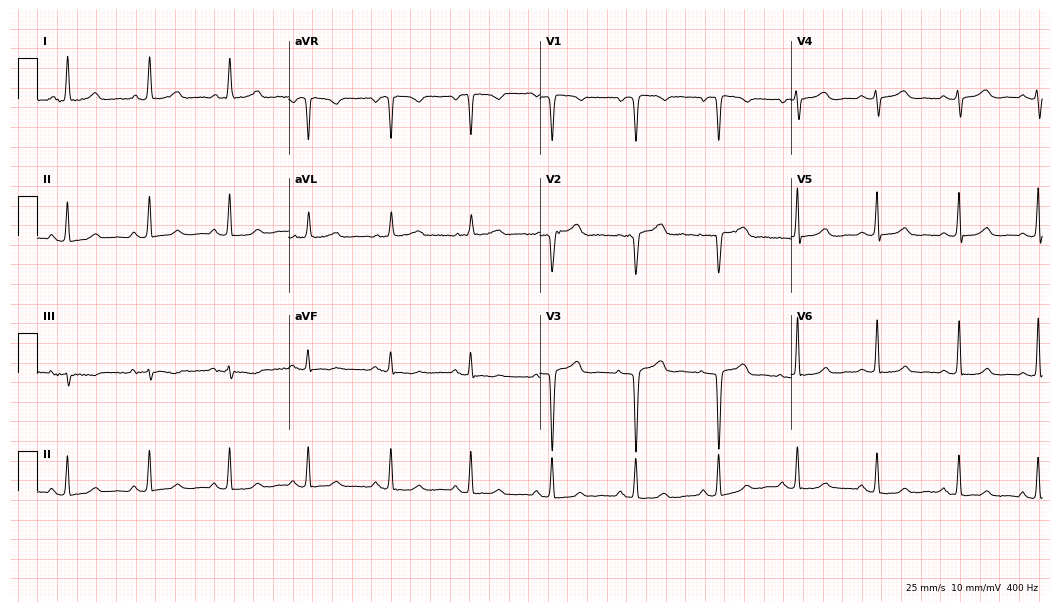
Standard 12-lead ECG recorded from a 55-year-old woman (10.2-second recording at 400 Hz). None of these six findings is recorded: first-degree AV block, right bundle branch block, left bundle branch block, sinus bradycardia, atrial fibrillation, sinus tachycardia.